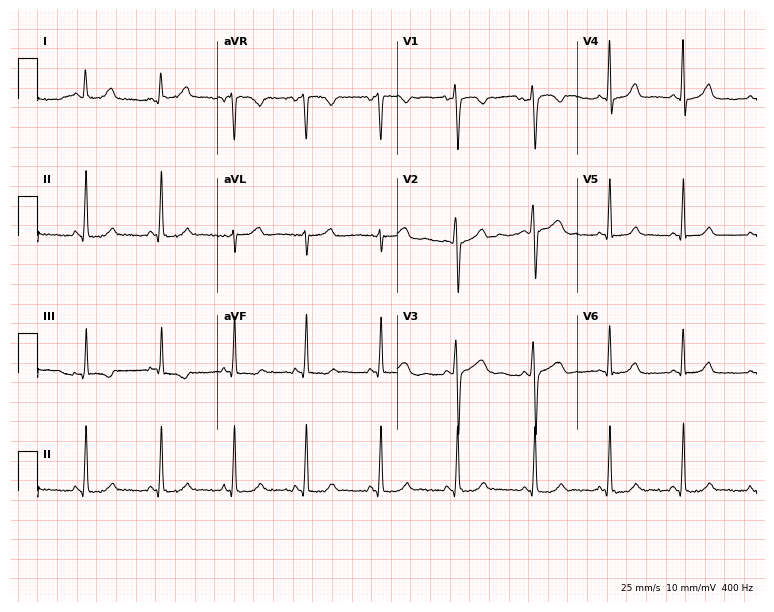
Resting 12-lead electrocardiogram (7.3-second recording at 400 Hz). Patient: a female, 31 years old. Read as a normal ECG.